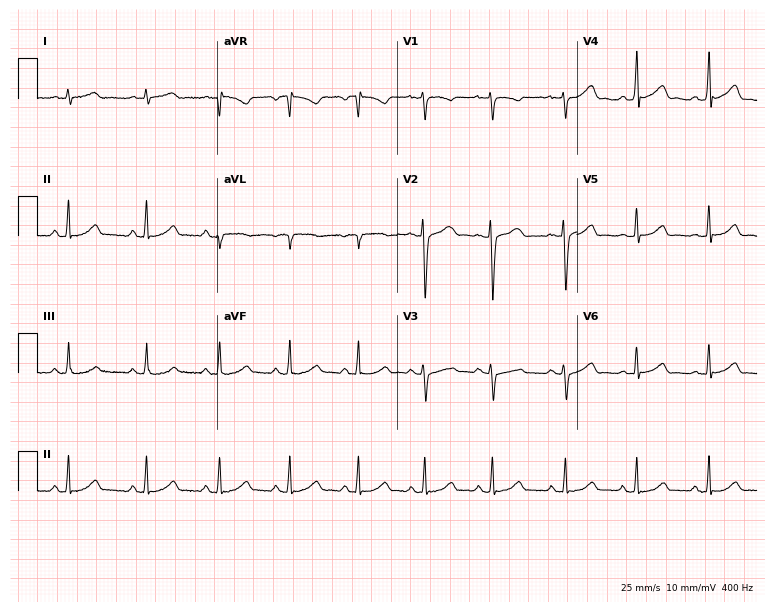
12-lead ECG (7.3-second recording at 400 Hz) from a 22-year-old female patient. Labelled as a normal ECG.